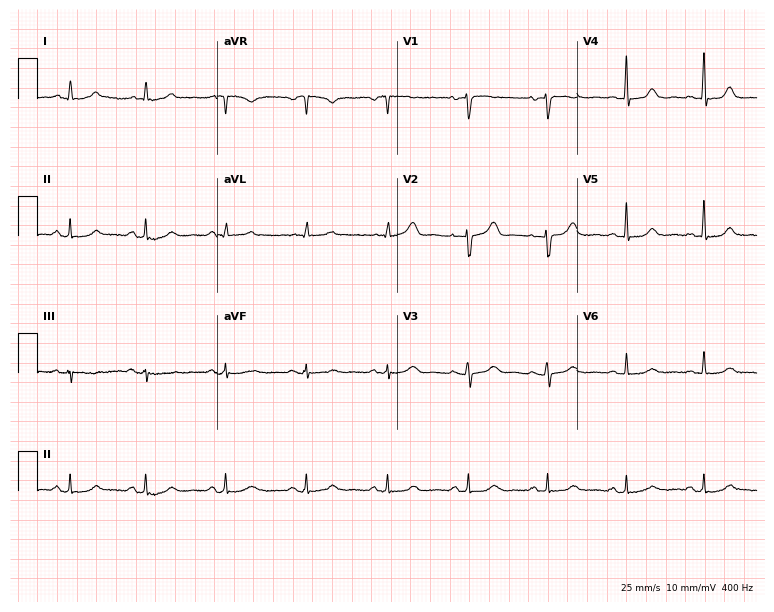
12-lead ECG (7.3-second recording at 400 Hz) from a 48-year-old female. Screened for six findings — first-degree AV block, right bundle branch block, left bundle branch block, sinus bradycardia, atrial fibrillation, sinus tachycardia — none is recorded.